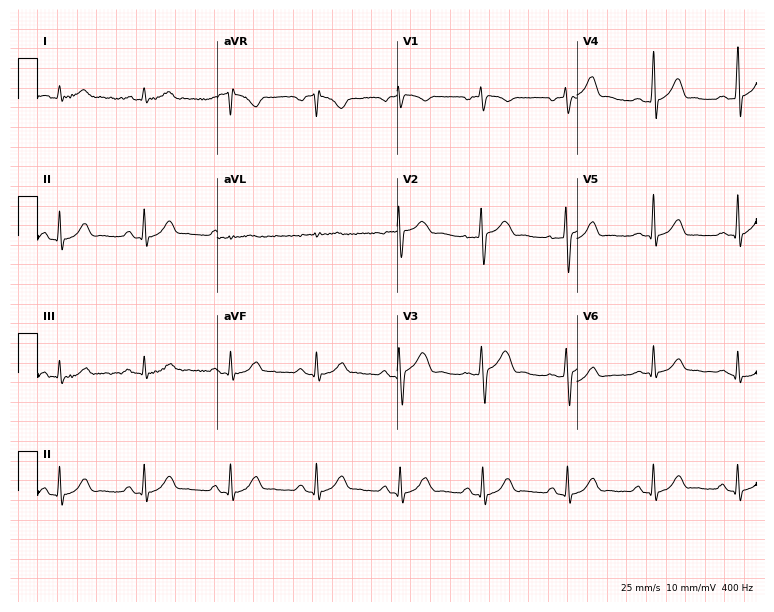
12-lead ECG from a 45-year-old male patient (7.3-second recording at 400 Hz). No first-degree AV block, right bundle branch block (RBBB), left bundle branch block (LBBB), sinus bradycardia, atrial fibrillation (AF) or sinus tachycardia recorded for this tracing. Only these six findings were labelled.